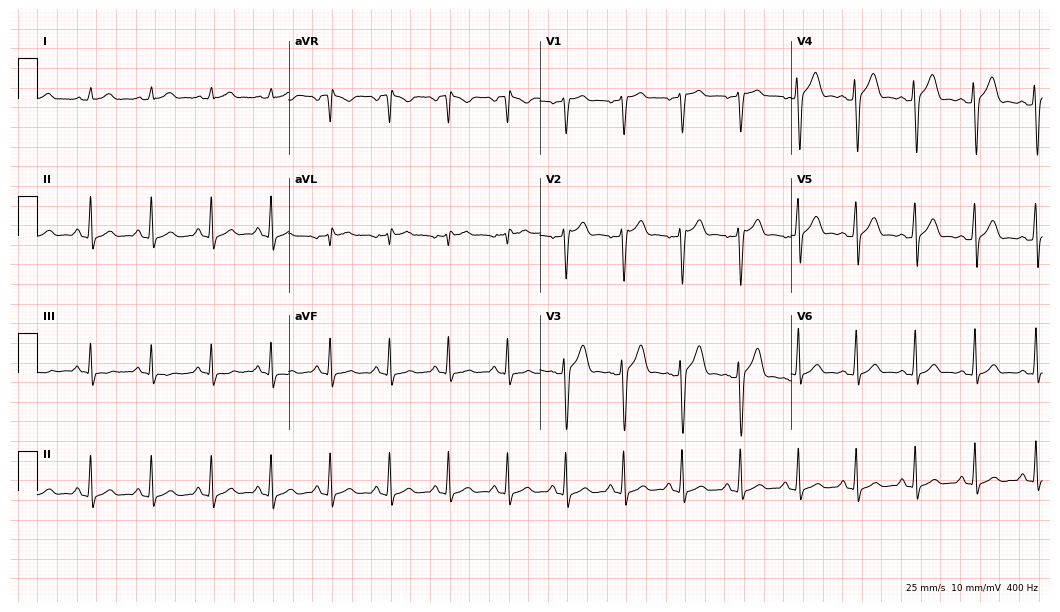
12-lead ECG (10.2-second recording at 400 Hz) from a man, 26 years old. Labelled as a normal ECG.